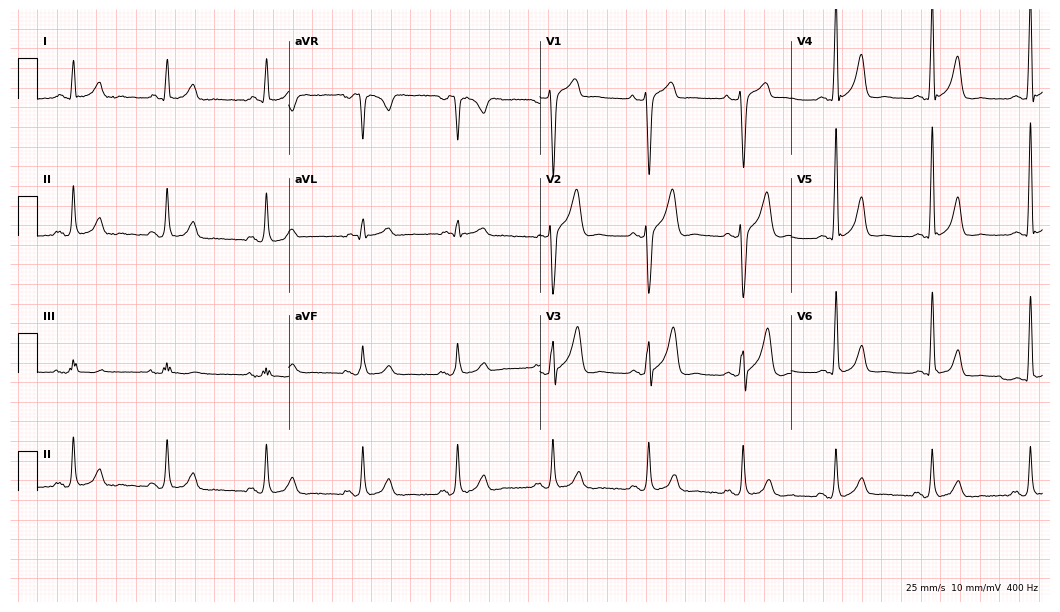
Electrocardiogram (10.2-second recording at 400 Hz), a 49-year-old man. Overall reading on record: normal ECG.